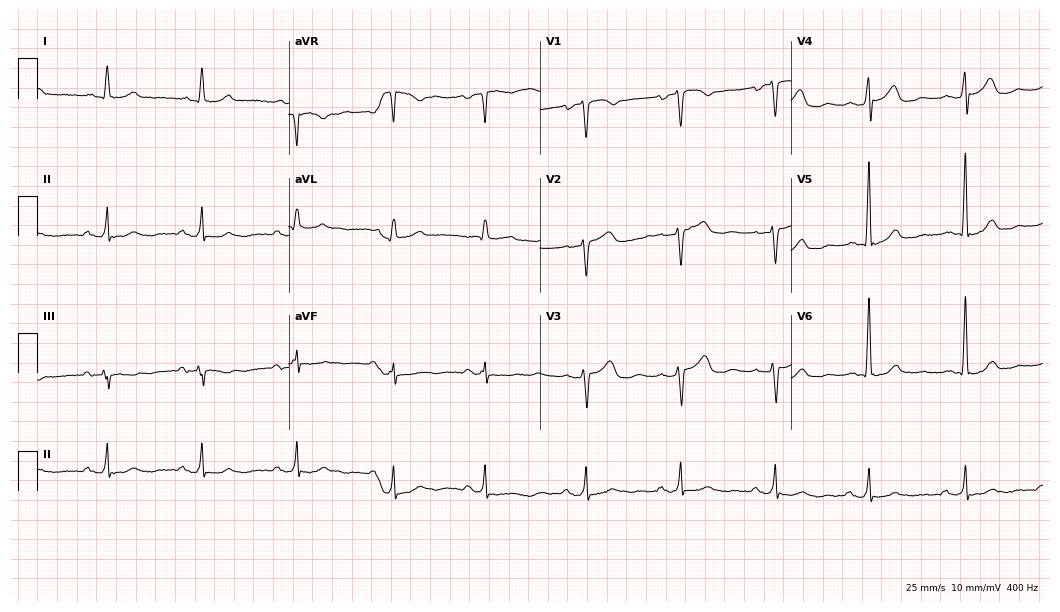
12-lead ECG (10.2-second recording at 400 Hz) from a 72-year-old man. Screened for six findings — first-degree AV block, right bundle branch block (RBBB), left bundle branch block (LBBB), sinus bradycardia, atrial fibrillation (AF), sinus tachycardia — none is recorded. Findings outside these six are not listed.